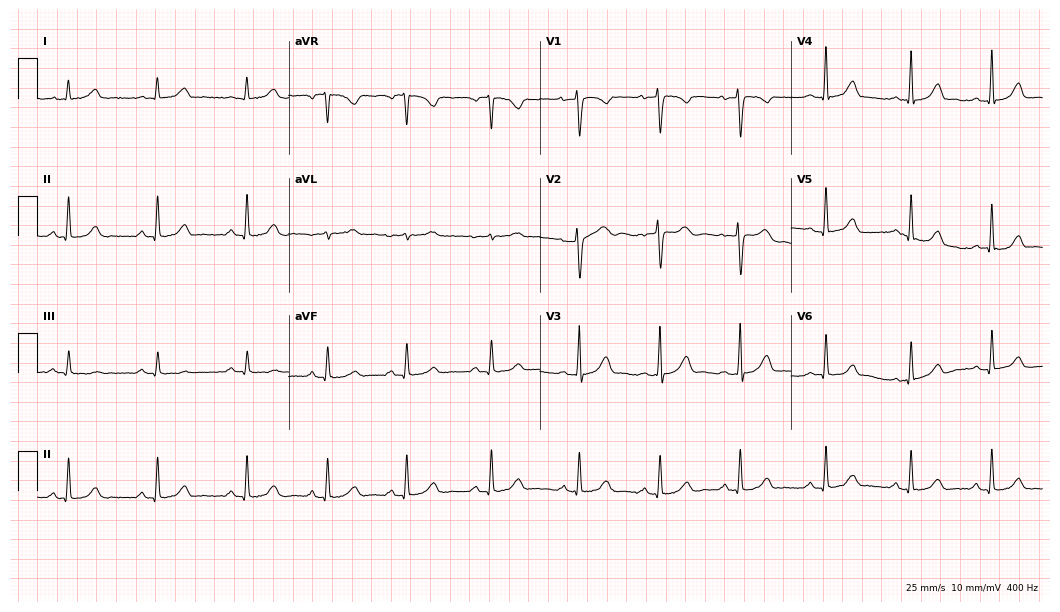
Standard 12-lead ECG recorded from a female, 23 years old (10.2-second recording at 400 Hz). Read as a normal ECG.